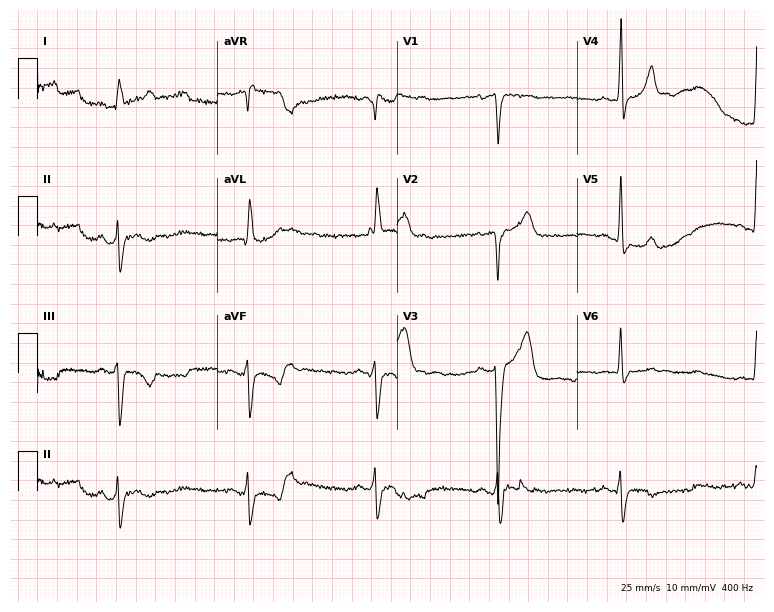
Electrocardiogram (7.3-second recording at 400 Hz), a male patient, 76 years old. Interpretation includes sinus bradycardia (a sinus rate of 50 beats per minute or less).